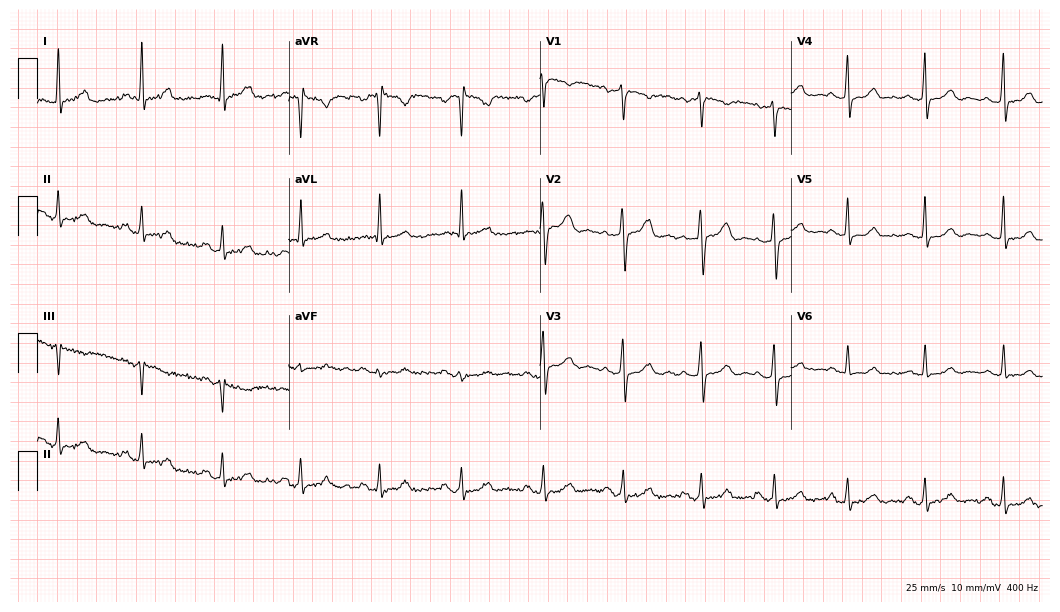
ECG — a female, 69 years old. Labelled as a normal ECG.